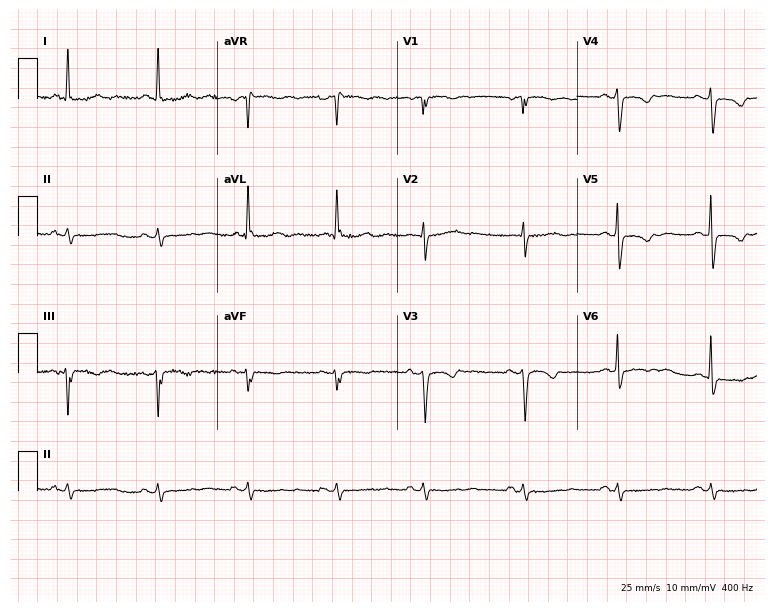
12-lead ECG from a female, 80 years old. Screened for six findings — first-degree AV block, right bundle branch block, left bundle branch block, sinus bradycardia, atrial fibrillation, sinus tachycardia — none is recorded. Other findings, if any, are not listed.